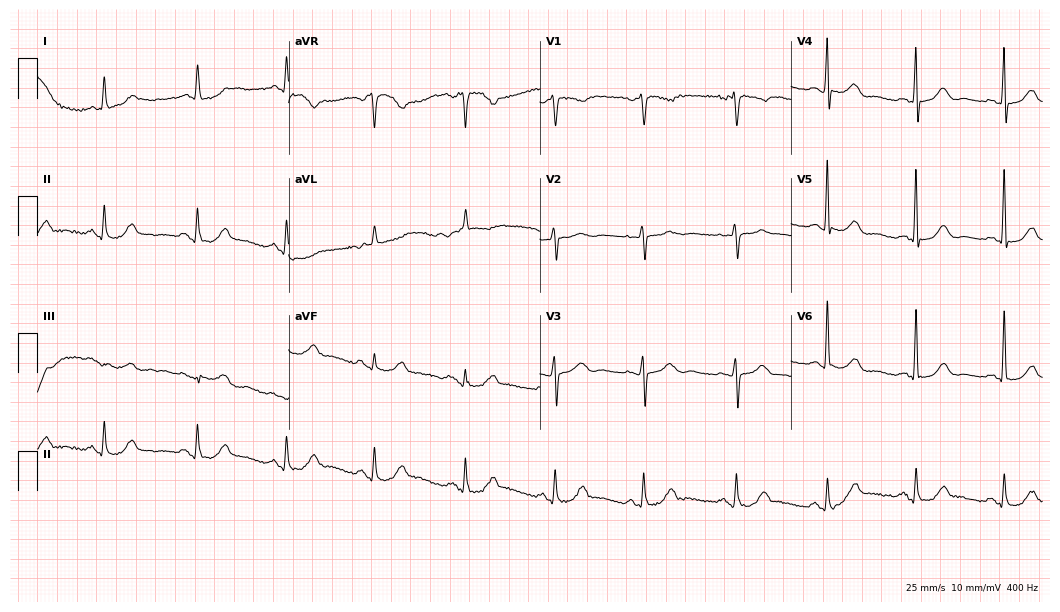
ECG (10.2-second recording at 400 Hz) — a female, 83 years old. Labelled as a normal ECG.